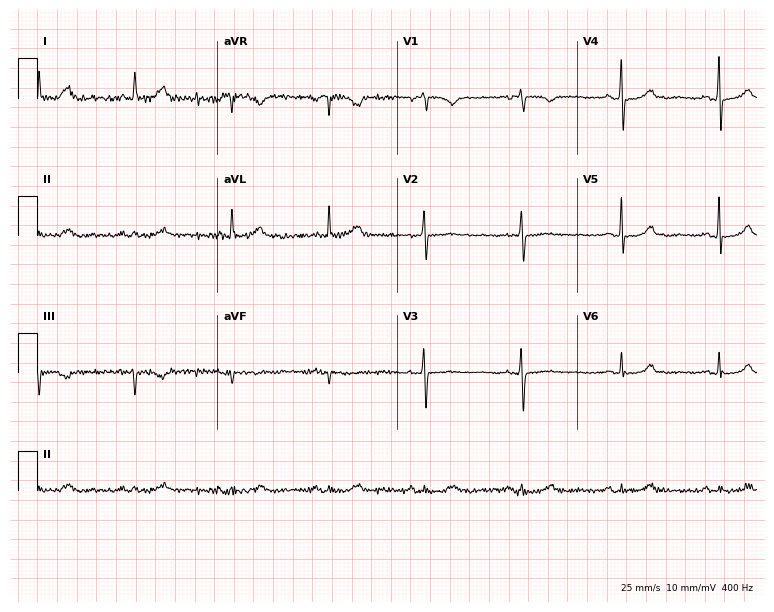
Resting 12-lead electrocardiogram. Patient: a 73-year-old female. None of these six findings is recorded: first-degree AV block, right bundle branch block, left bundle branch block, sinus bradycardia, atrial fibrillation, sinus tachycardia. Findings outside these six are not listed.